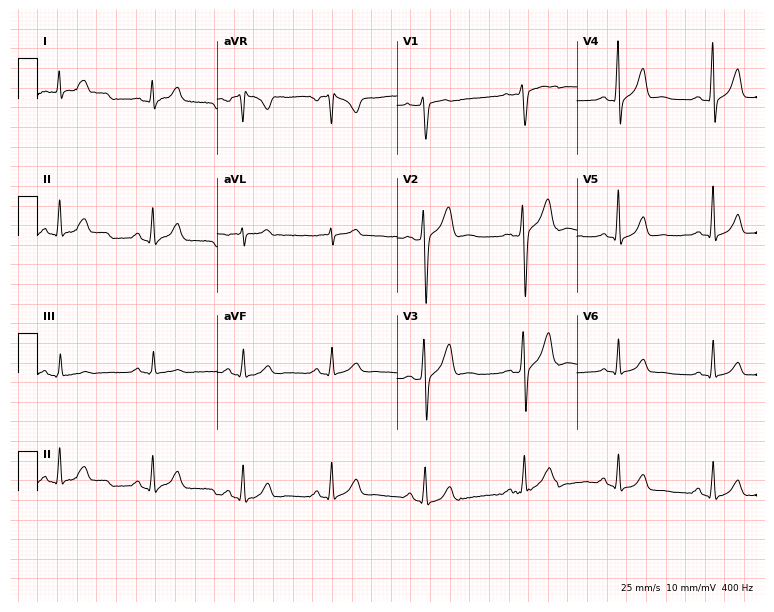
Standard 12-lead ECG recorded from a man, 25 years old. None of these six findings is recorded: first-degree AV block, right bundle branch block, left bundle branch block, sinus bradycardia, atrial fibrillation, sinus tachycardia. Only these six findings were labelled.